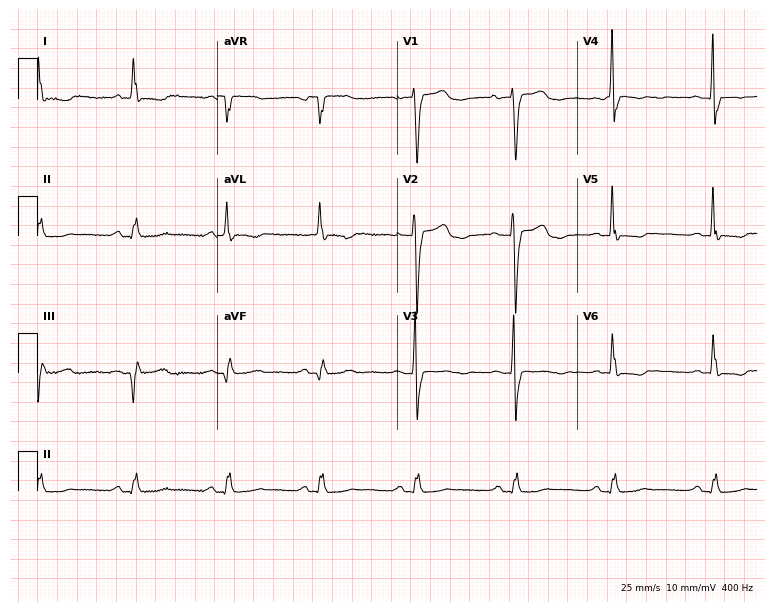
Resting 12-lead electrocardiogram (7.3-second recording at 400 Hz). Patient: a woman, 58 years old. None of these six findings is recorded: first-degree AV block, right bundle branch block, left bundle branch block, sinus bradycardia, atrial fibrillation, sinus tachycardia. Findings outside these six are not listed.